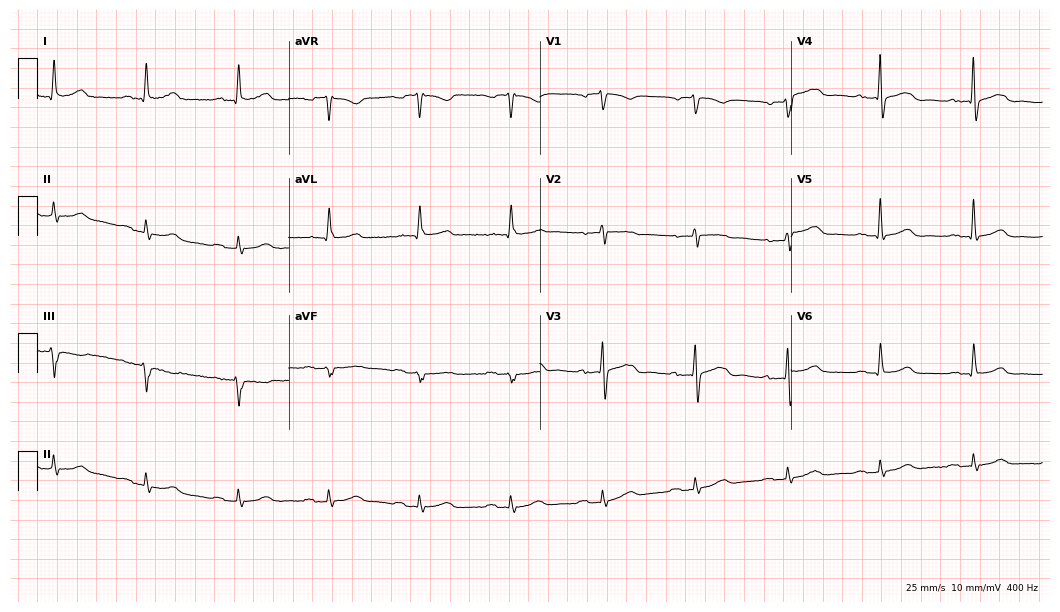
ECG — a 75-year-old male patient. Labelled as a normal ECG.